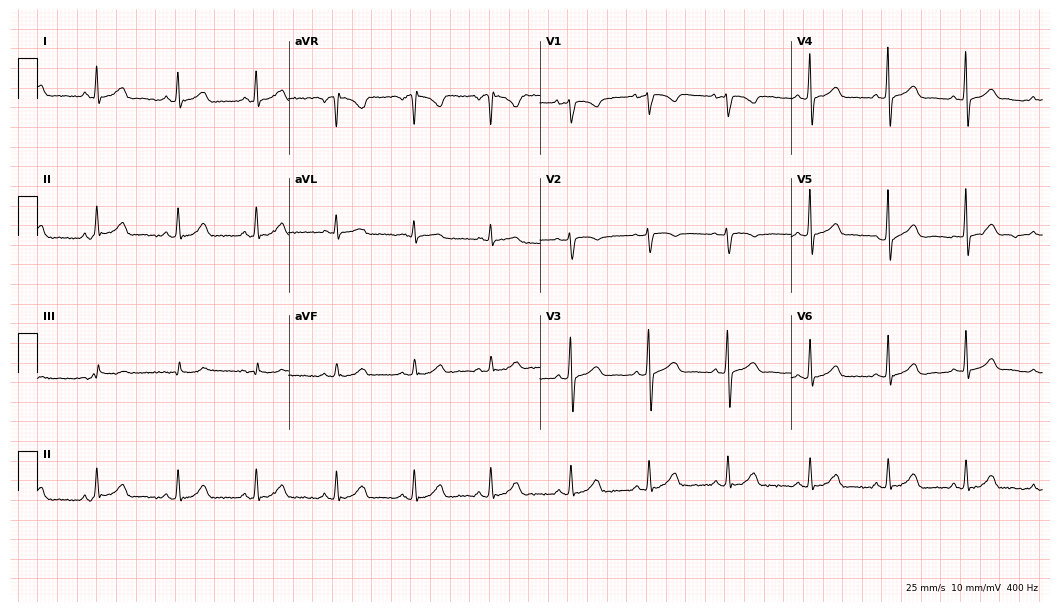
Resting 12-lead electrocardiogram (10.2-second recording at 400 Hz). Patient: a 31-year-old woman. None of these six findings is recorded: first-degree AV block, right bundle branch block, left bundle branch block, sinus bradycardia, atrial fibrillation, sinus tachycardia. Findings outside these six are not listed.